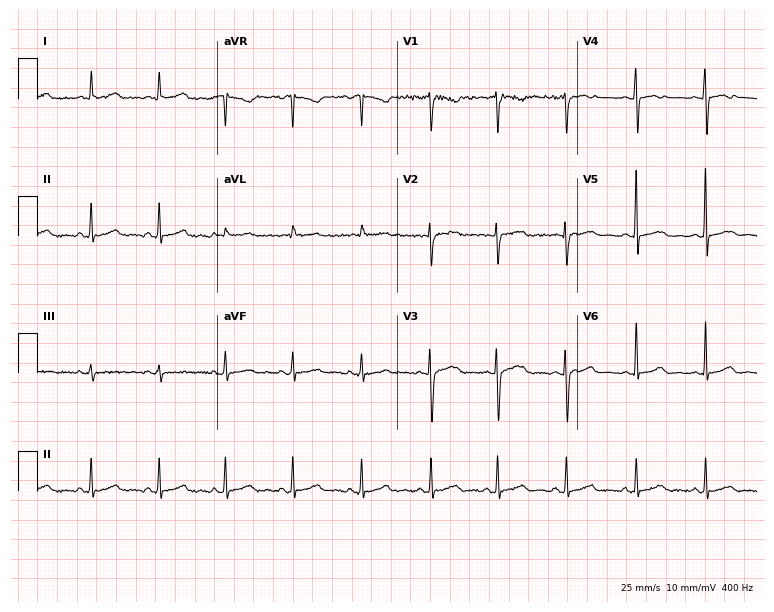
Electrocardiogram (7.3-second recording at 400 Hz), a 30-year-old female. Overall reading on record: normal ECG.